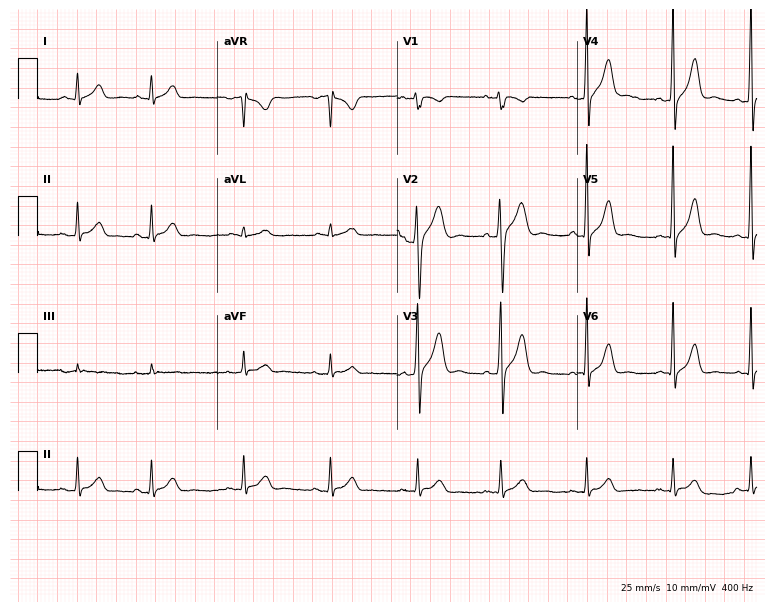
Standard 12-lead ECG recorded from a male, 26 years old. None of these six findings is recorded: first-degree AV block, right bundle branch block, left bundle branch block, sinus bradycardia, atrial fibrillation, sinus tachycardia.